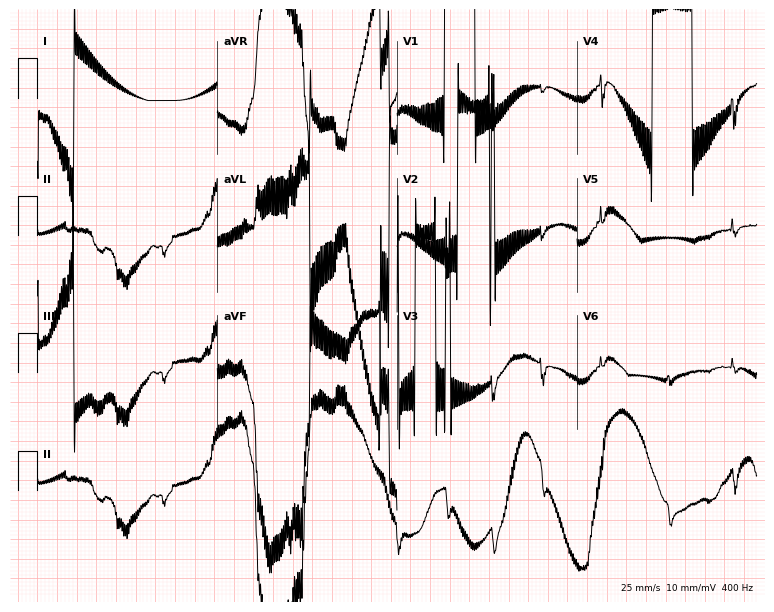
12-lead ECG from a male patient, 76 years old (7.3-second recording at 400 Hz). No first-degree AV block, right bundle branch block, left bundle branch block, sinus bradycardia, atrial fibrillation or sinus tachycardia recorded for this tracing.